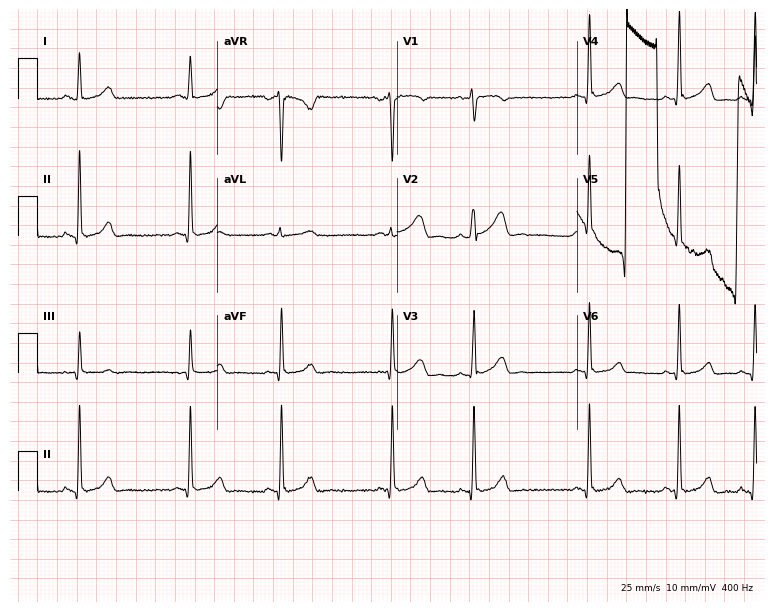
12-lead ECG from a woman, 31 years old. No first-degree AV block, right bundle branch block (RBBB), left bundle branch block (LBBB), sinus bradycardia, atrial fibrillation (AF) or sinus tachycardia recorded for this tracing.